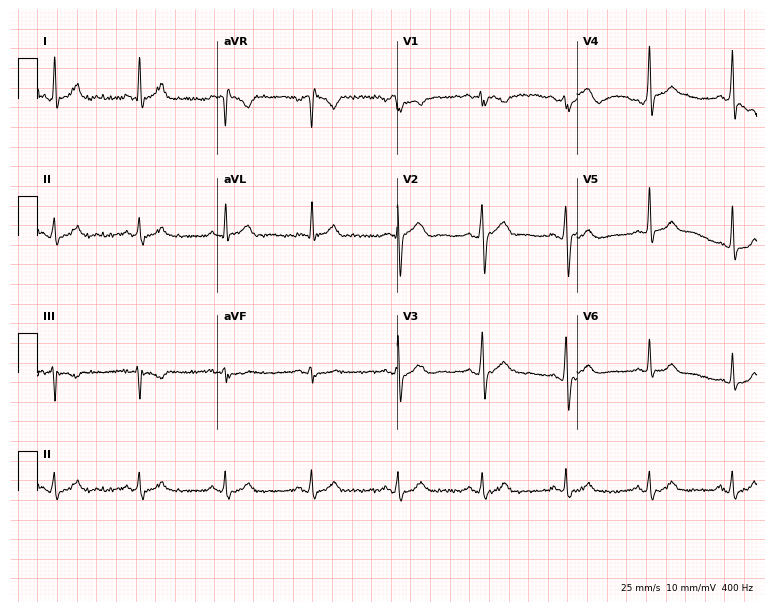
Standard 12-lead ECG recorded from a man, 46 years old. None of these six findings is recorded: first-degree AV block, right bundle branch block, left bundle branch block, sinus bradycardia, atrial fibrillation, sinus tachycardia.